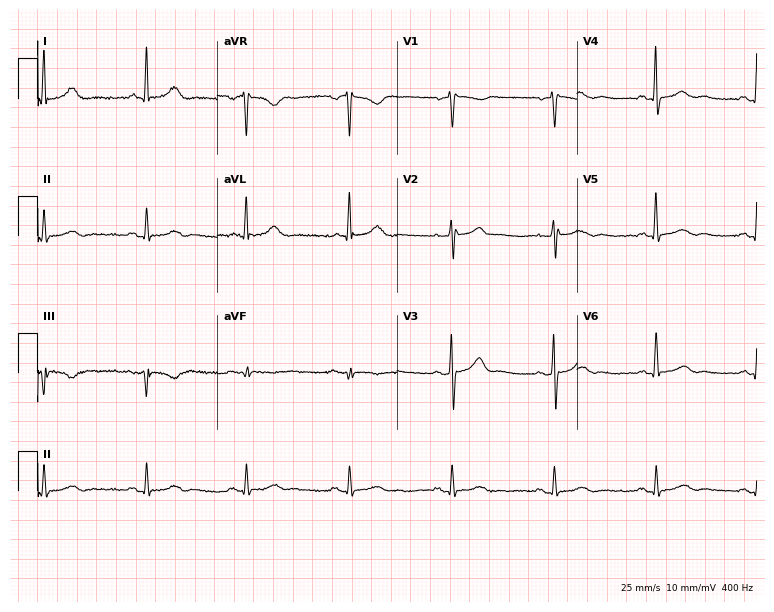
Electrocardiogram, a 69-year-old male. Overall reading on record: normal ECG.